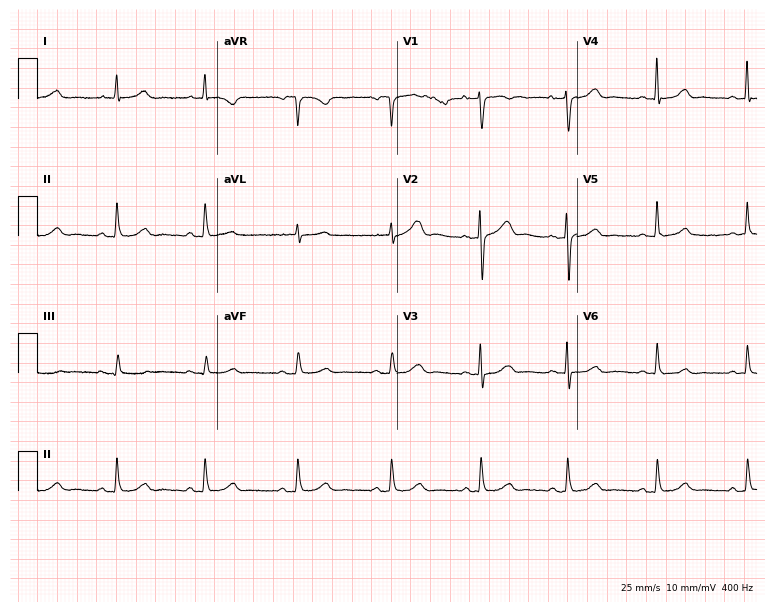
ECG — a female, 60 years old. Labelled as a normal ECG.